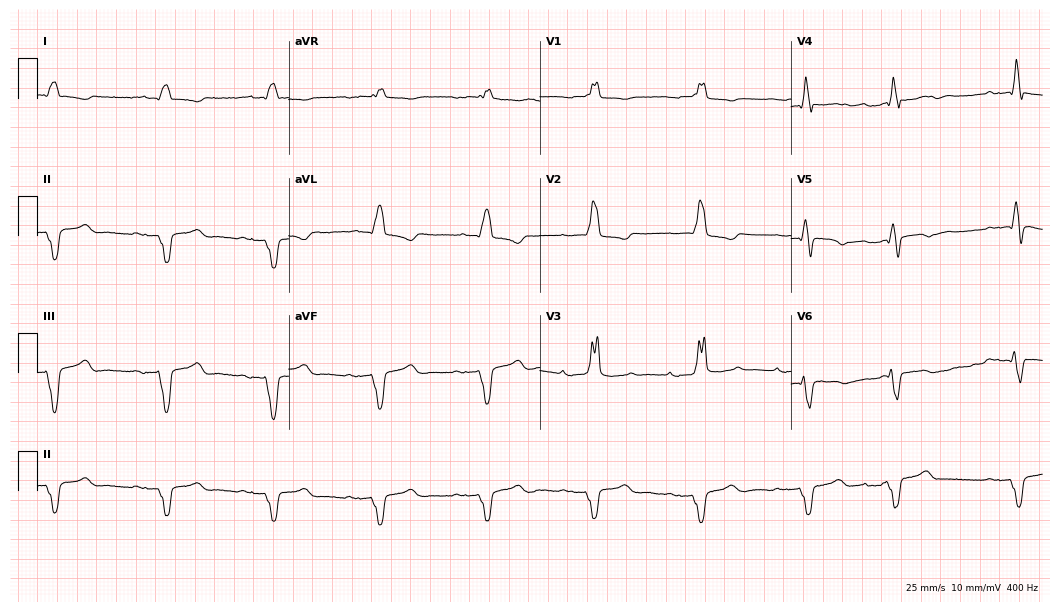
ECG — an 80-year-old male patient. Findings include first-degree AV block, right bundle branch block (RBBB).